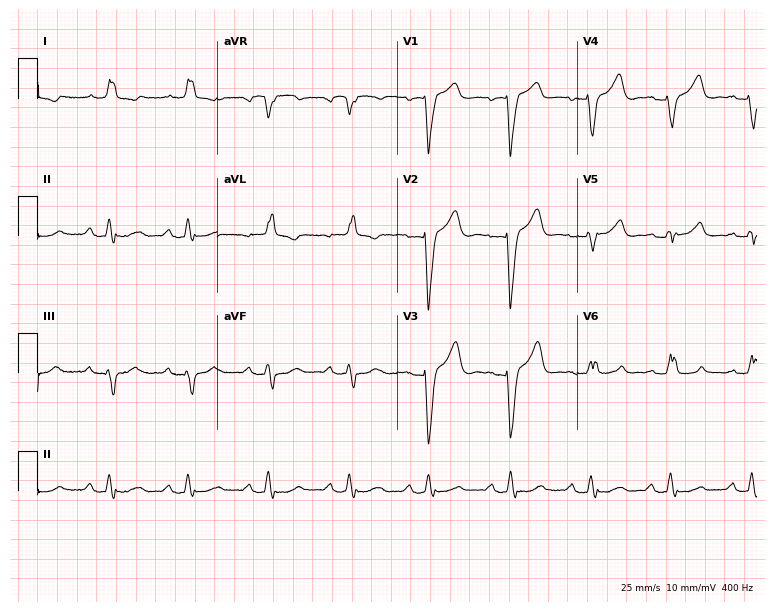
ECG — a female patient, 81 years old. Findings include left bundle branch block (LBBB).